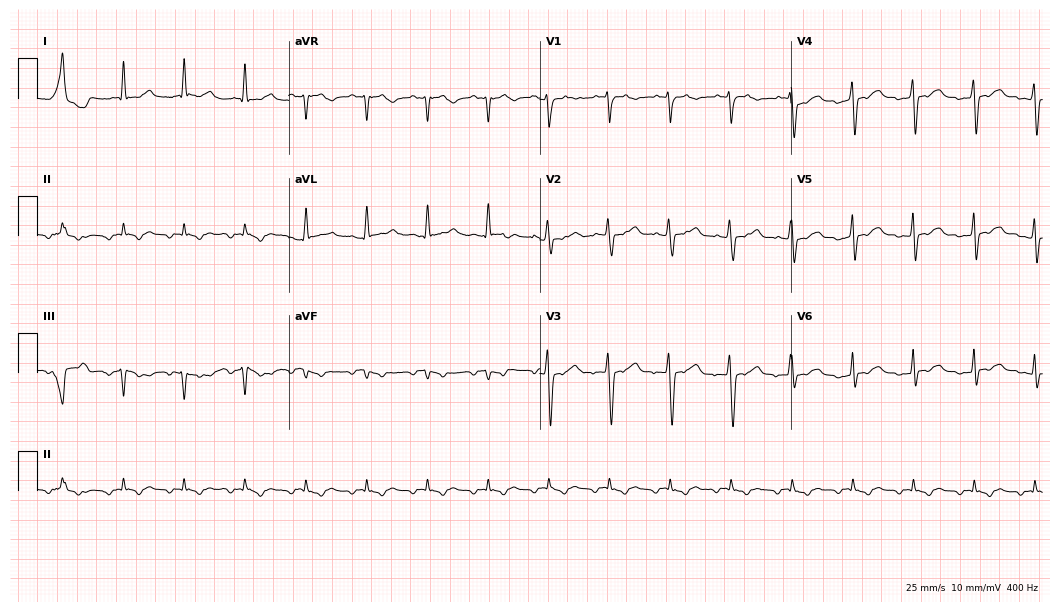
Resting 12-lead electrocardiogram (10.2-second recording at 400 Hz). Patient: a male, 67 years old. Read as a normal ECG.